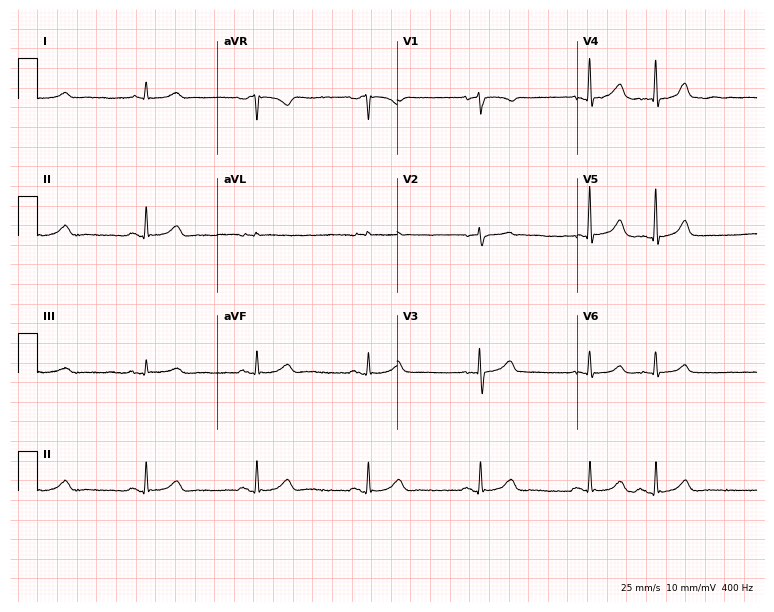
12-lead ECG from a male patient, 83 years old. Recorded interpretation: within normal limits.